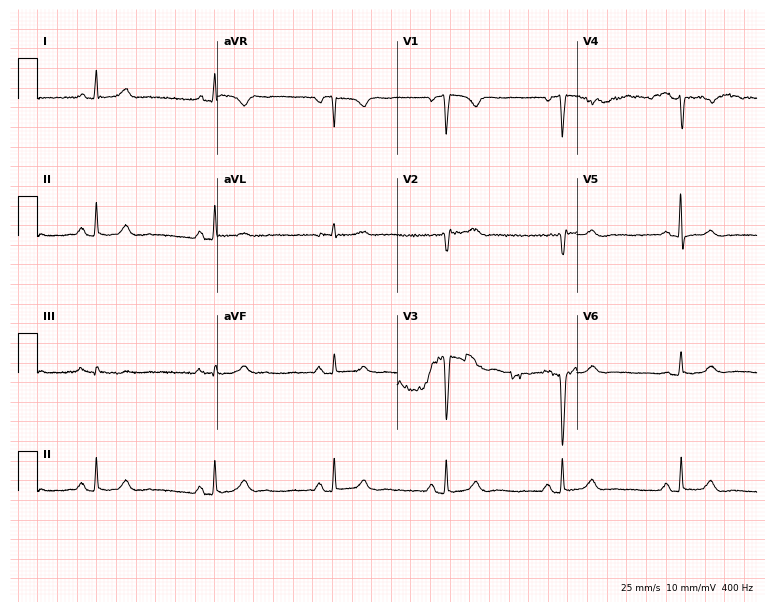
Resting 12-lead electrocardiogram. Patient: a woman, 54 years old. None of these six findings is recorded: first-degree AV block, right bundle branch block, left bundle branch block, sinus bradycardia, atrial fibrillation, sinus tachycardia.